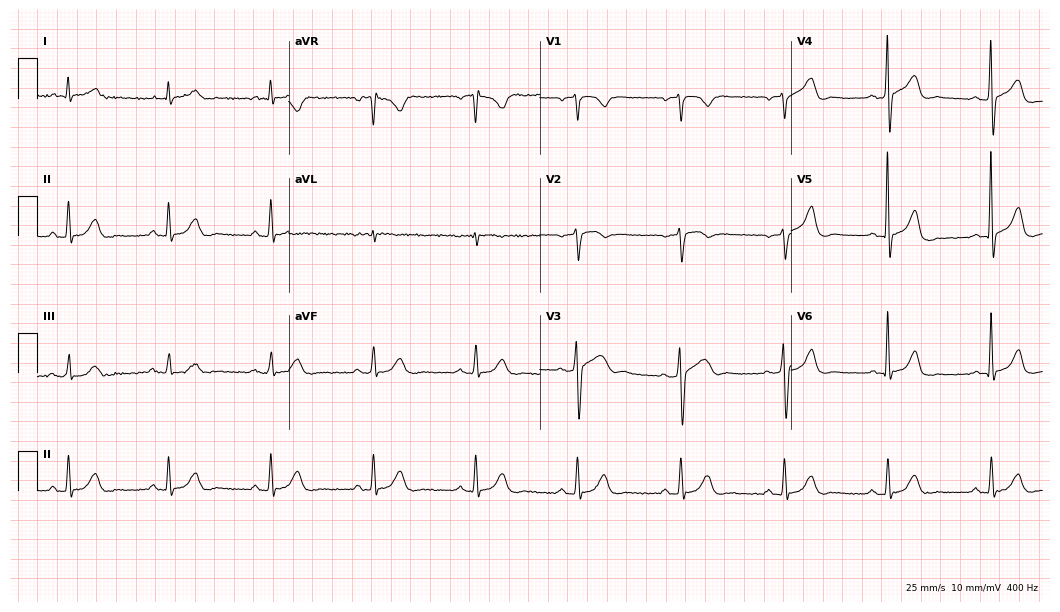
Standard 12-lead ECG recorded from a male, 68 years old. Read as a normal ECG.